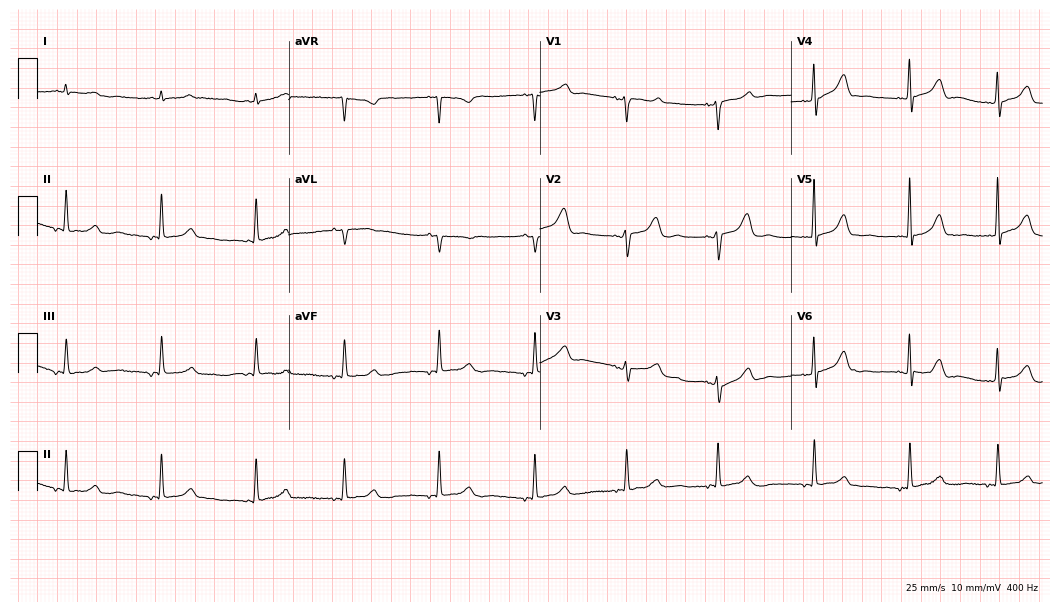
Resting 12-lead electrocardiogram (10.2-second recording at 400 Hz). Patient: a 72-year-old female. Read as a normal ECG.